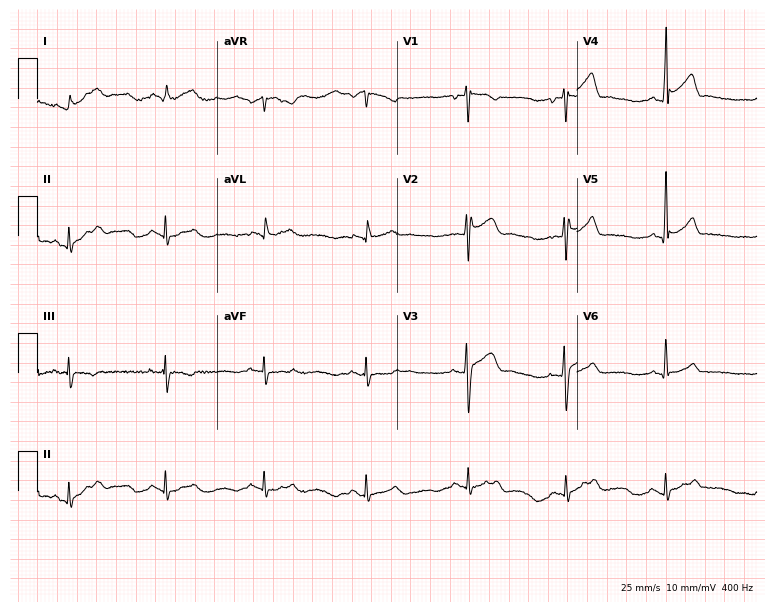
12-lead ECG from a 33-year-old male (7.3-second recording at 400 Hz). Recorded interpretation: within normal limits.